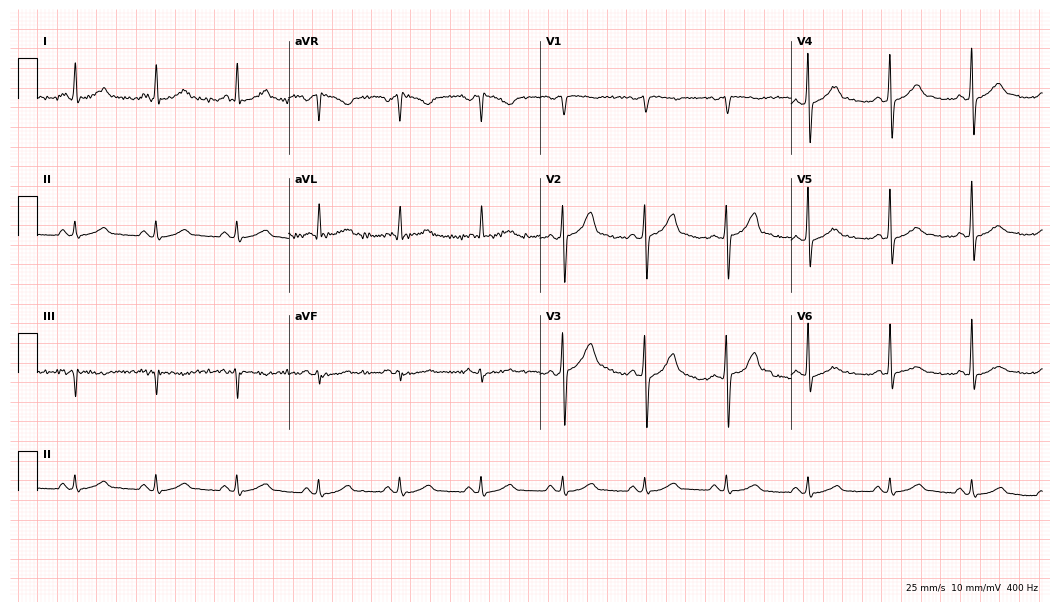
ECG (10.2-second recording at 400 Hz) — a 62-year-old man. Labelled as a normal ECG.